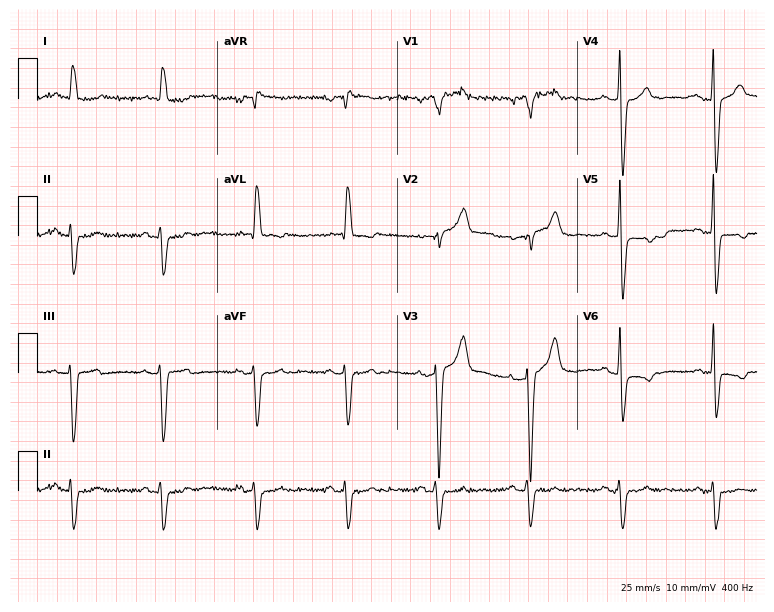
ECG (7.3-second recording at 400 Hz) — a man, 85 years old. Findings include left bundle branch block (LBBB).